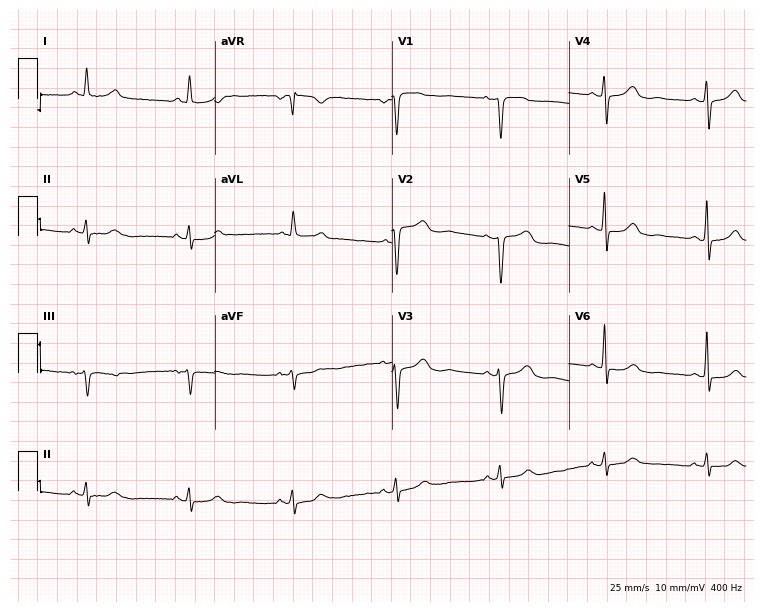
12-lead ECG from a female patient, 79 years old (7.2-second recording at 400 Hz). No first-degree AV block, right bundle branch block, left bundle branch block, sinus bradycardia, atrial fibrillation or sinus tachycardia recorded for this tracing. Findings outside these six are not listed.